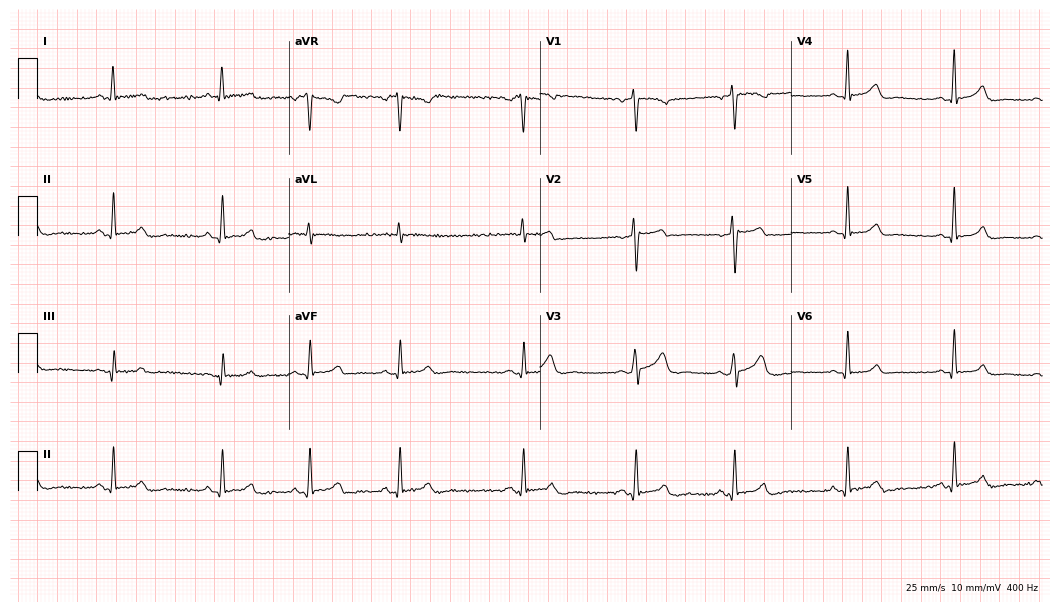
12-lead ECG (10.2-second recording at 400 Hz) from a 34-year-old female patient. Labelled as a normal ECG.